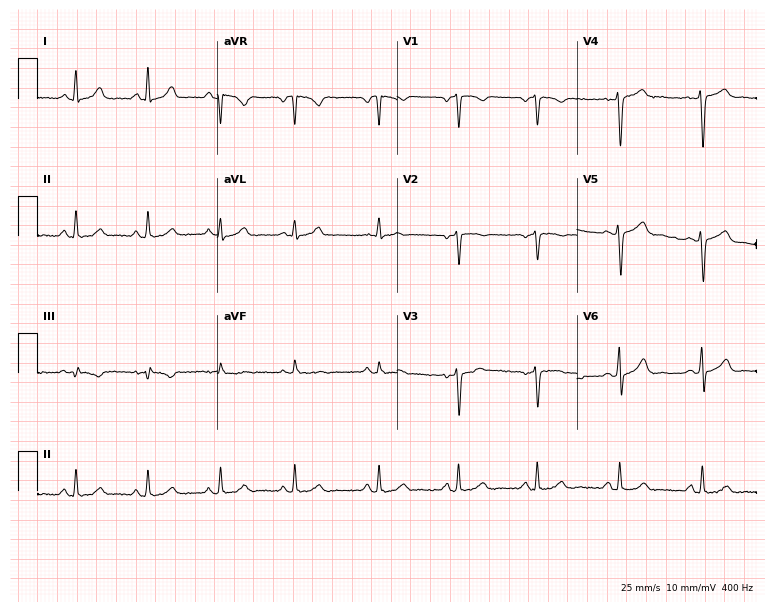
12-lead ECG (7.3-second recording at 400 Hz) from a female, 39 years old. Screened for six findings — first-degree AV block, right bundle branch block, left bundle branch block, sinus bradycardia, atrial fibrillation, sinus tachycardia — none is recorded.